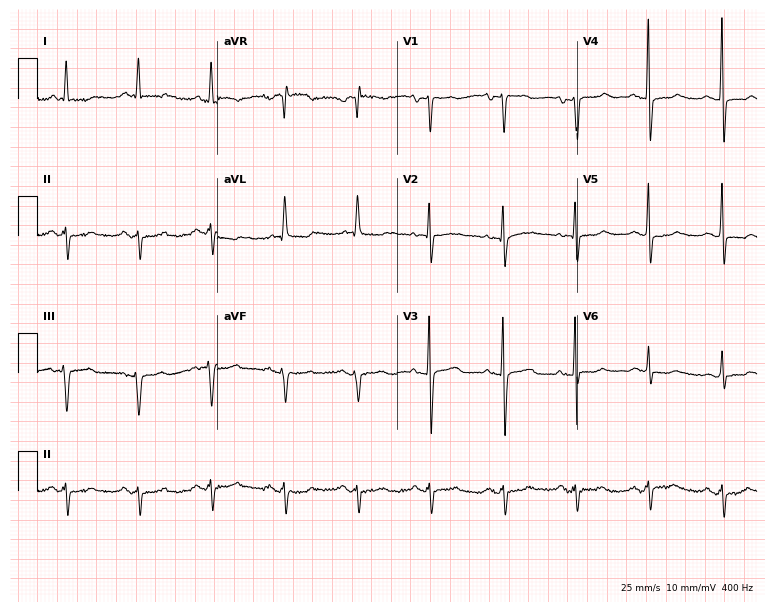
12-lead ECG (7.3-second recording at 400 Hz) from a 78-year-old female. Screened for six findings — first-degree AV block, right bundle branch block, left bundle branch block, sinus bradycardia, atrial fibrillation, sinus tachycardia — none is recorded.